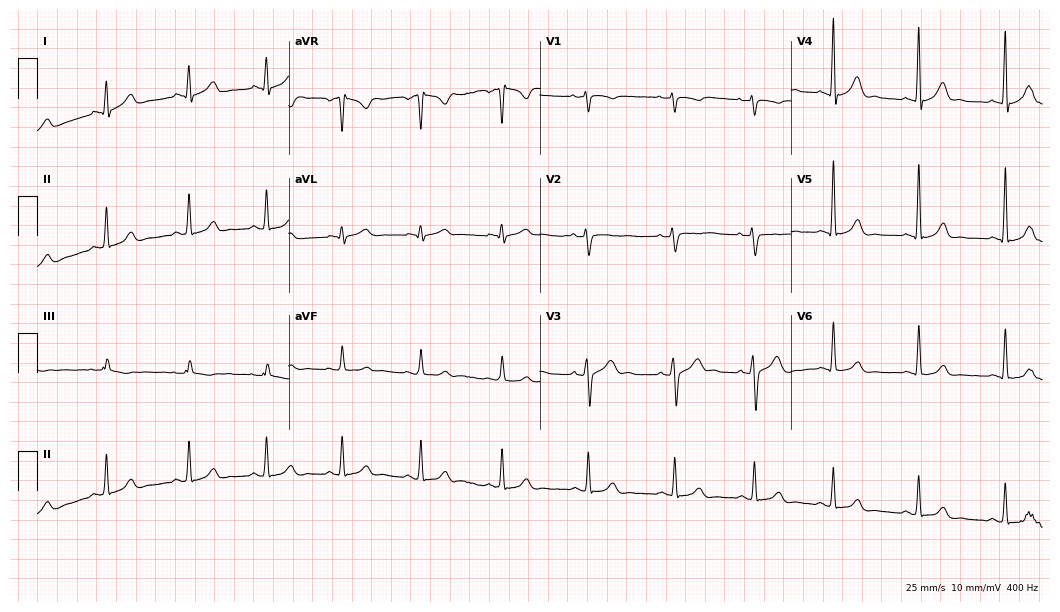
12-lead ECG from a 25-year-old man. No first-degree AV block, right bundle branch block, left bundle branch block, sinus bradycardia, atrial fibrillation or sinus tachycardia recorded for this tracing. Other findings, if any, are not listed.